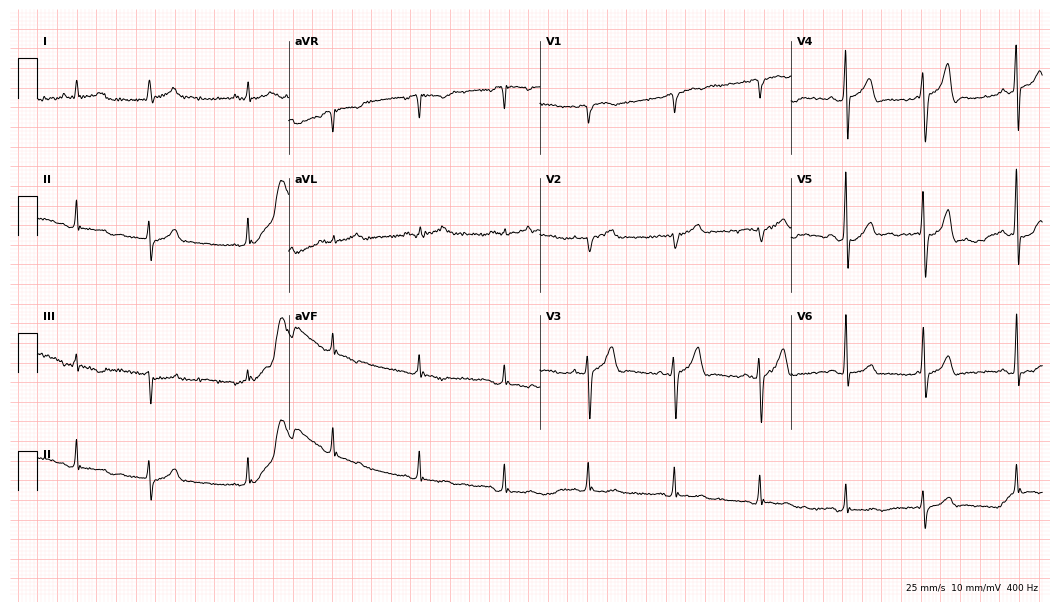
Resting 12-lead electrocardiogram (10.2-second recording at 400 Hz). Patient: a 63-year-old male. None of these six findings is recorded: first-degree AV block, right bundle branch block (RBBB), left bundle branch block (LBBB), sinus bradycardia, atrial fibrillation (AF), sinus tachycardia. Findings outside these six are not listed.